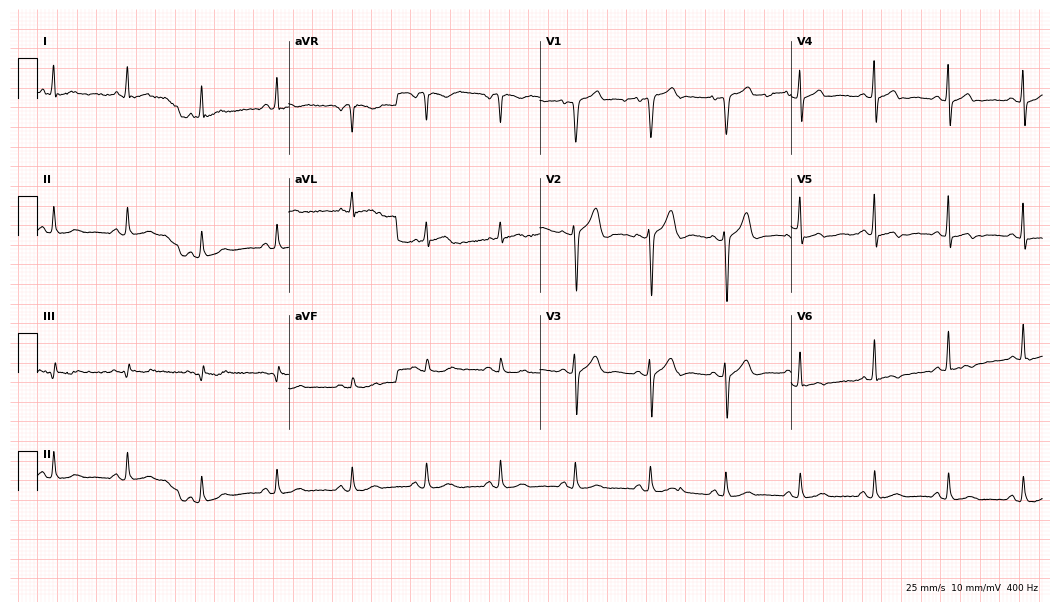
12-lead ECG (10.2-second recording at 400 Hz) from a 63-year-old male. Screened for six findings — first-degree AV block, right bundle branch block, left bundle branch block, sinus bradycardia, atrial fibrillation, sinus tachycardia — none is recorded.